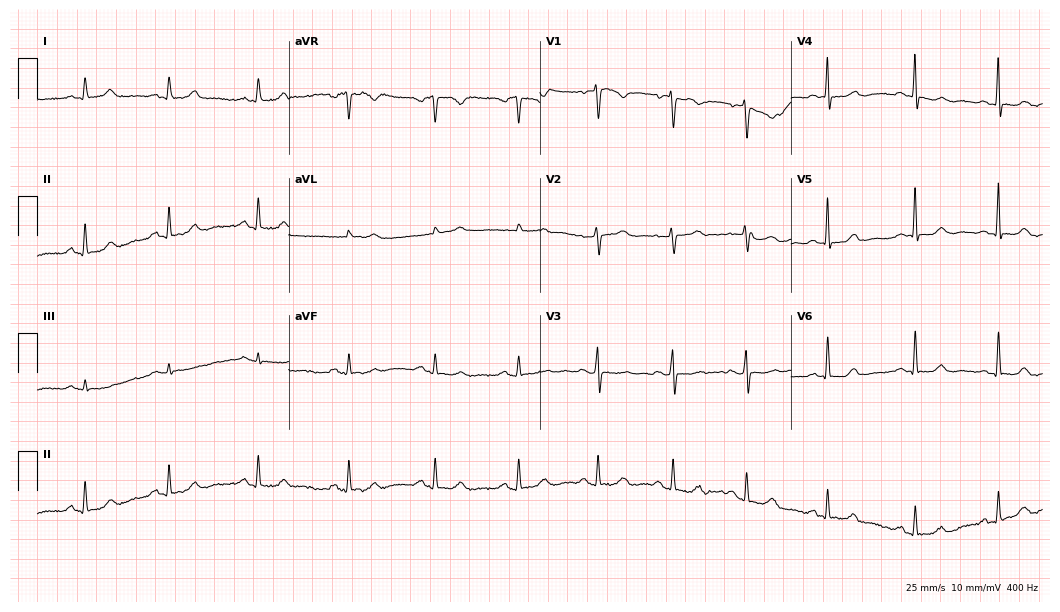
12-lead ECG from a female patient, 38 years old. Recorded interpretation: within normal limits.